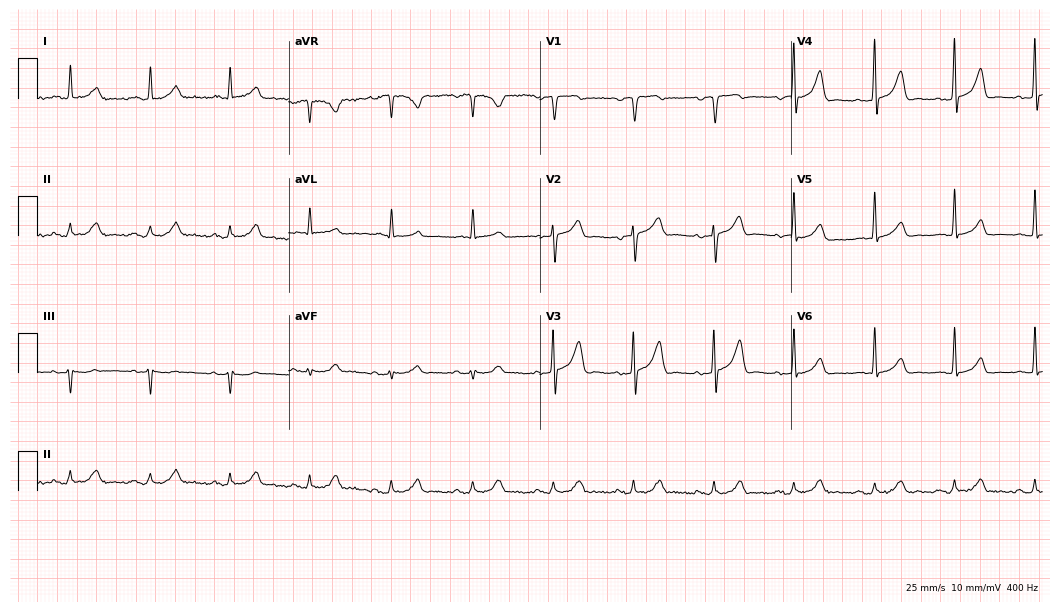
Standard 12-lead ECG recorded from a male patient, 77 years old (10.2-second recording at 400 Hz). None of these six findings is recorded: first-degree AV block, right bundle branch block, left bundle branch block, sinus bradycardia, atrial fibrillation, sinus tachycardia. Findings outside these six are not listed.